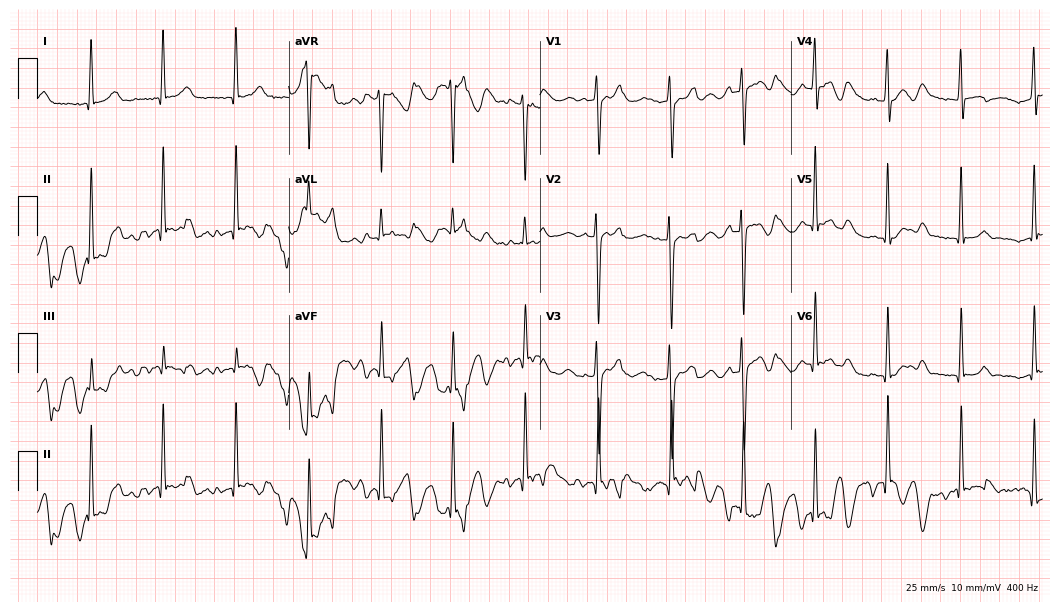
Electrocardiogram (10.2-second recording at 400 Hz), a female, 18 years old. Overall reading on record: normal ECG.